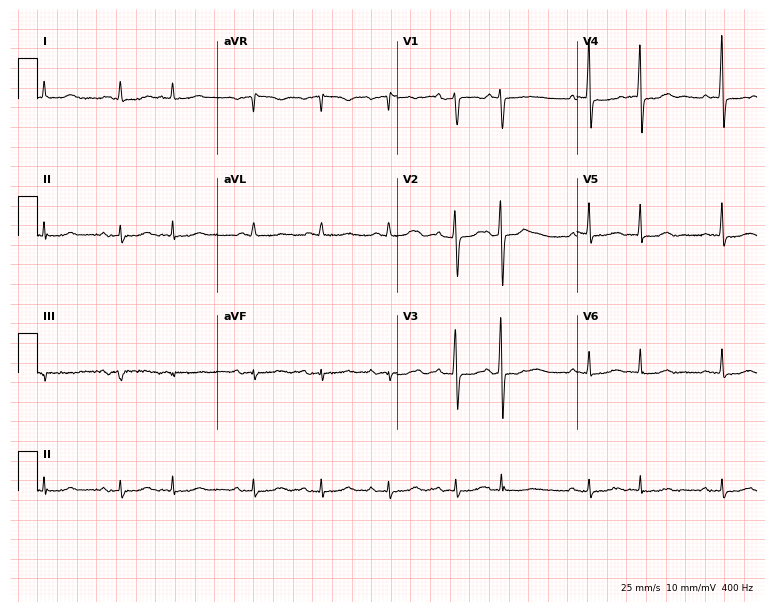
Resting 12-lead electrocardiogram (7.3-second recording at 400 Hz). Patient: a woman, 82 years old. None of these six findings is recorded: first-degree AV block, right bundle branch block, left bundle branch block, sinus bradycardia, atrial fibrillation, sinus tachycardia. Only these six findings were labelled.